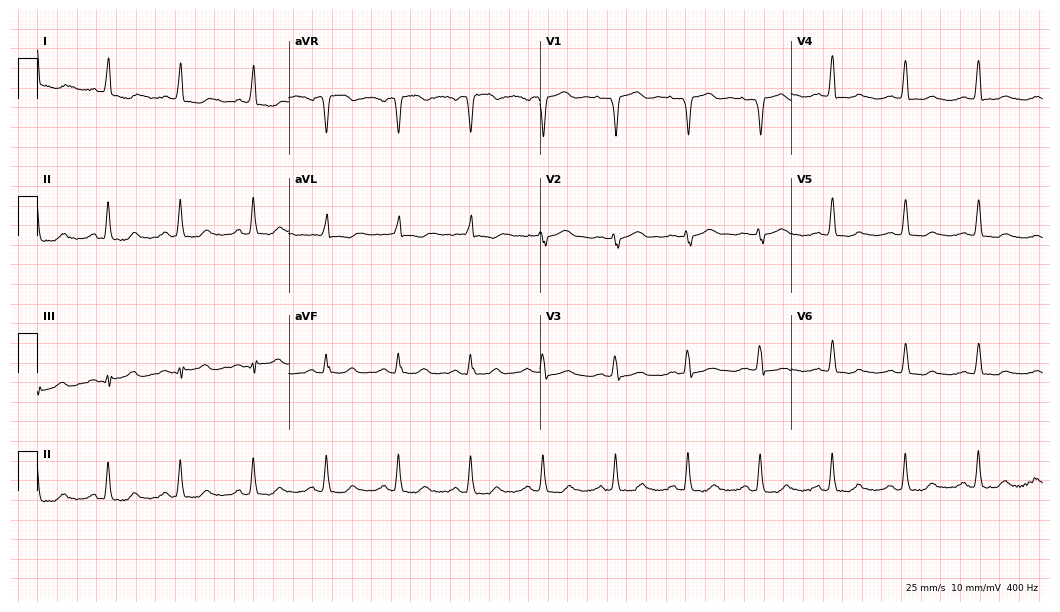
Electrocardiogram (10.2-second recording at 400 Hz), a 77-year-old female patient. Of the six screened findings (first-degree AV block, right bundle branch block (RBBB), left bundle branch block (LBBB), sinus bradycardia, atrial fibrillation (AF), sinus tachycardia), none is recorded. Findings outside these six are not listed.